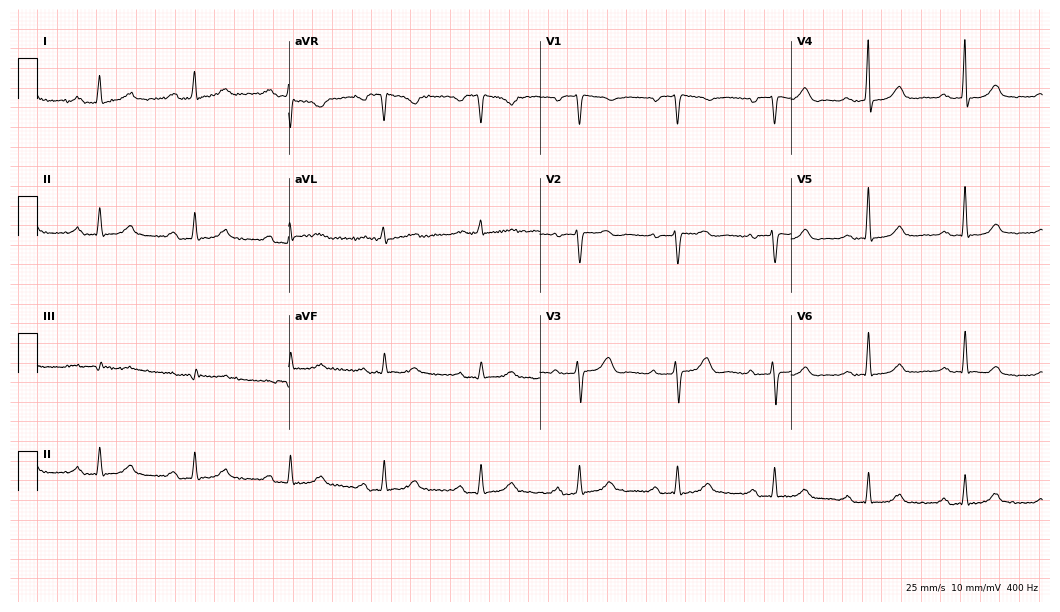
ECG (10.2-second recording at 400 Hz) — a woman, 65 years old. Findings include first-degree AV block.